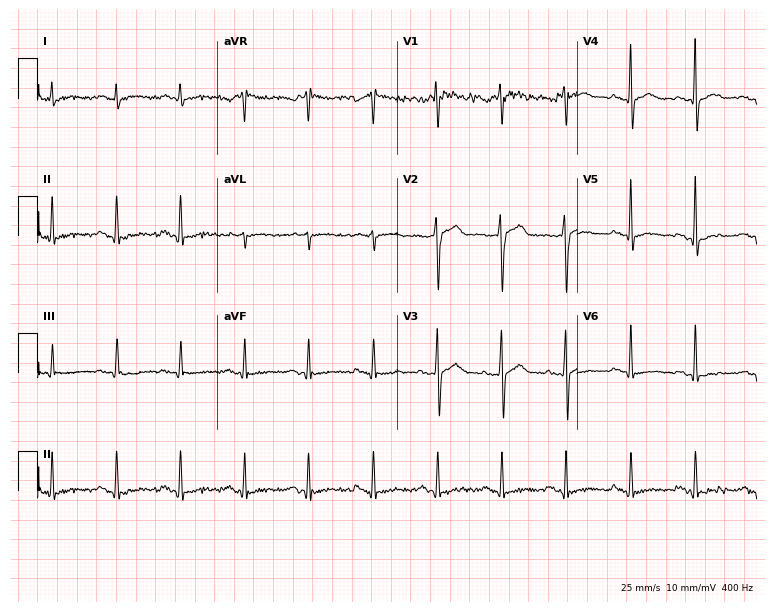
Resting 12-lead electrocardiogram (7.3-second recording at 400 Hz). Patient: a male, 52 years old. None of these six findings is recorded: first-degree AV block, right bundle branch block (RBBB), left bundle branch block (LBBB), sinus bradycardia, atrial fibrillation (AF), sinus tachycardia. Only these six findings were labelled.